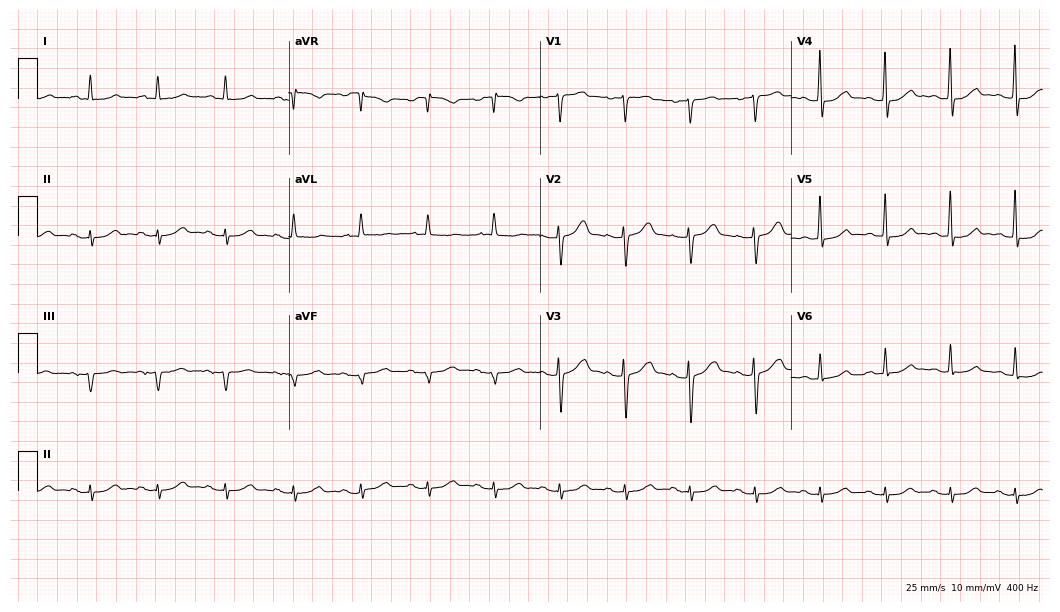
12-lead ECG from a 67-year-old male patient. Labelled as a normal ECG.